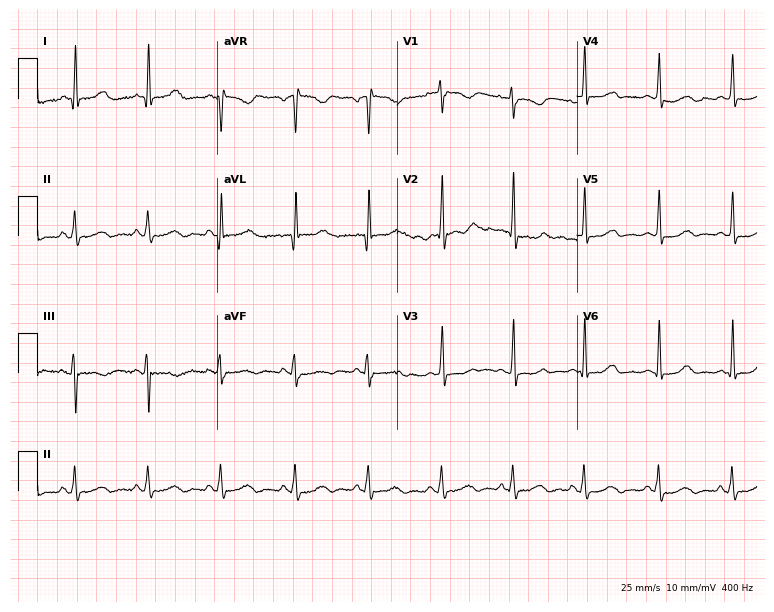
Resting 12-lead electrocardiogram. Patient: a 43-year-old female. None of these six findings is recorded: first-degree AV block, right bundle branch block (RBBB), left bundle branch block (LBBB), sinus bradycardia, atrial fibrillation (AF), sinus tachycardia.